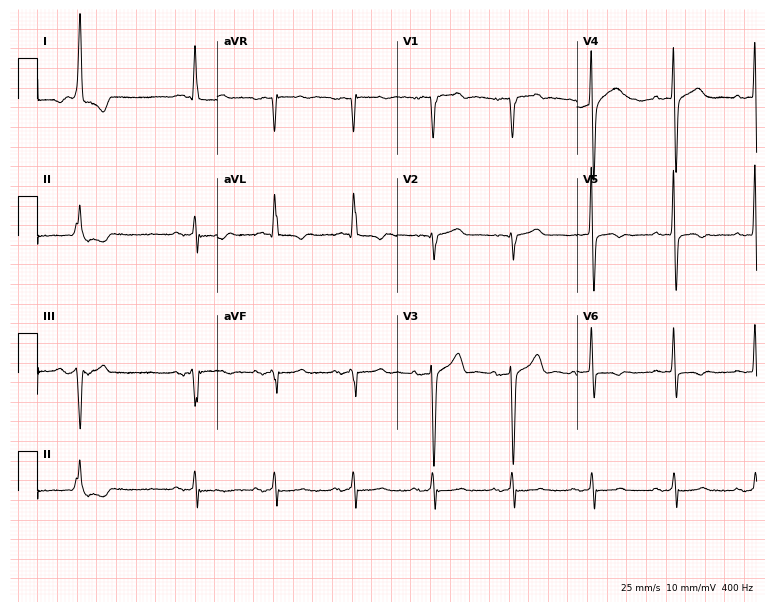
Resting 12-lead electrocardiogram (7.3-second recording at 400 Hz). Patient: a man, 67 years old. None of these six findings is recorded: first-degree AV block, right bundle branch block, left bundle branch block, sinus bradycardia, atrial fibrillation, sinus tachycardia. Findings outside these six are not listed.